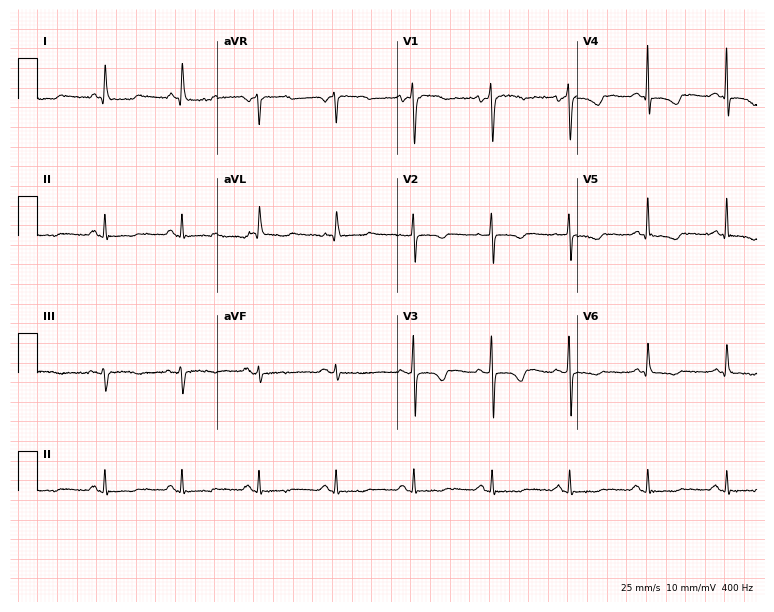
ECG (7.3-second recording at 400 Hz) — a female patient, 83 years old. Screened for six findings — first-degree AV block, right bundle branch block, left bundle branch block, sinus bradycardia, atrial fibrillation, sinus tachycardia — none is recorded. Findings outside these six are not listed.